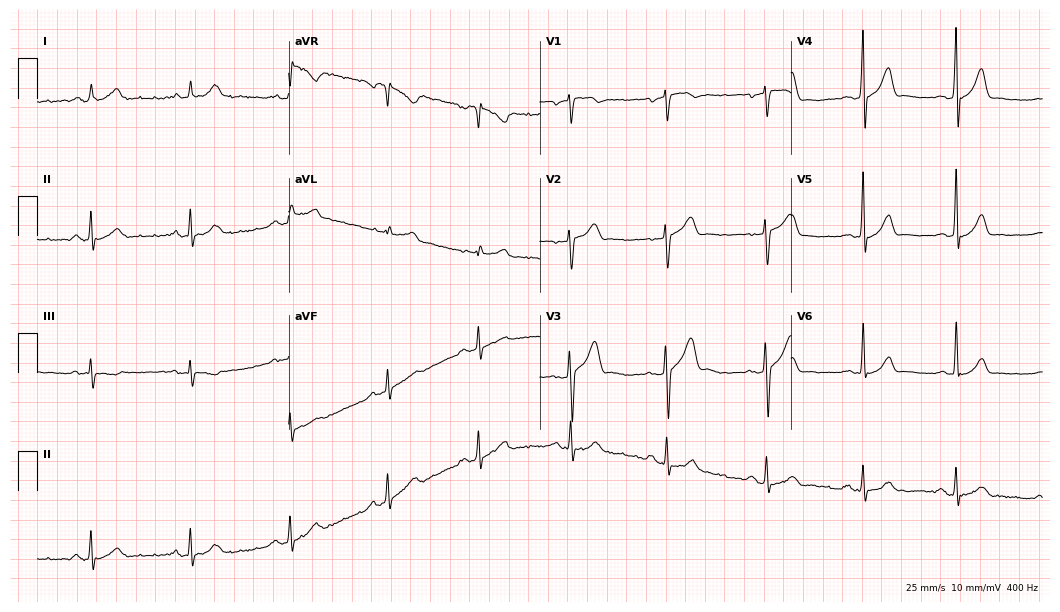
Resting 12-lead electrocardiogram. Patient: a 34-year-old female. Read as a normal ECG.